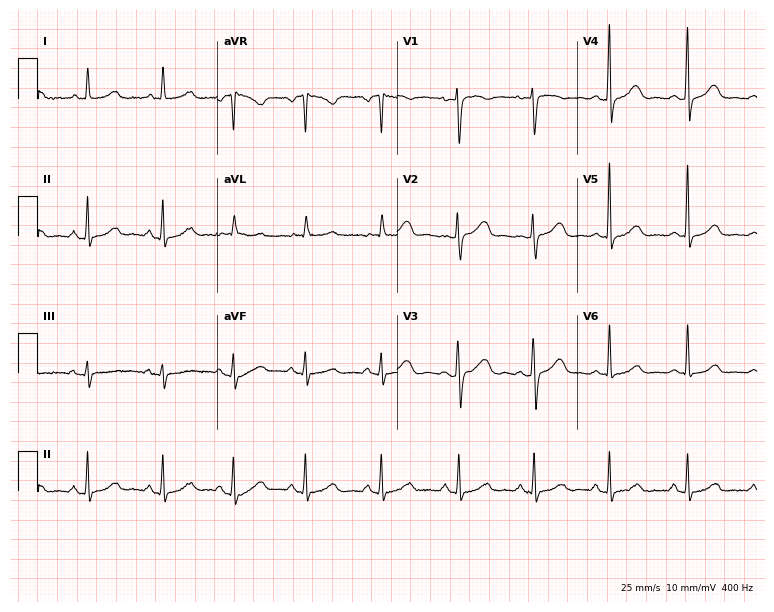
Resting 12-lead electrocardiogram. Patient: a female, 58 years old. Read as a normal ECG.